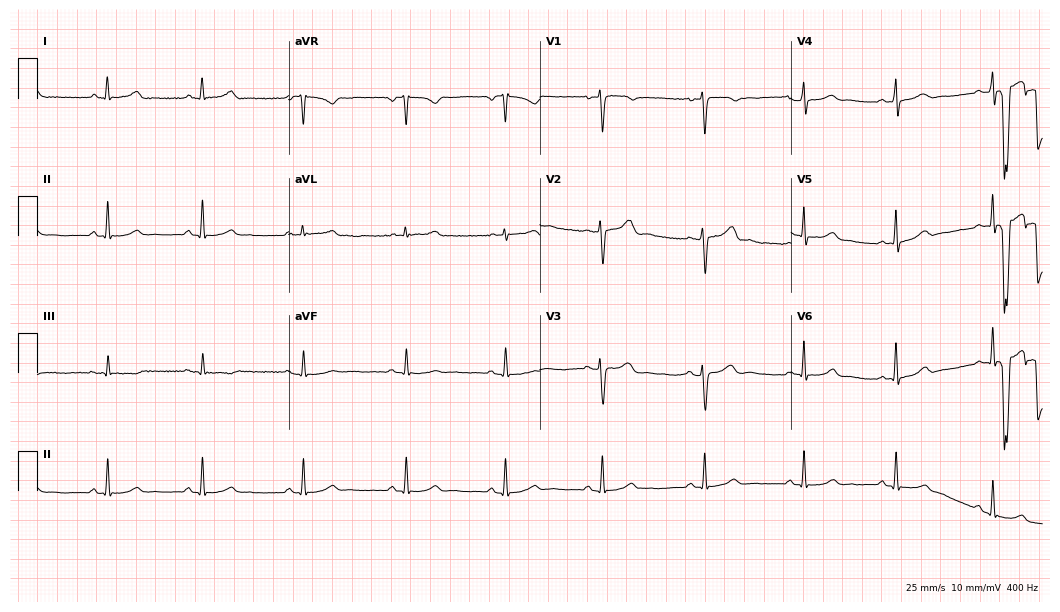
ECG — a 39-year-old woman. Labelled as a normal ECG.